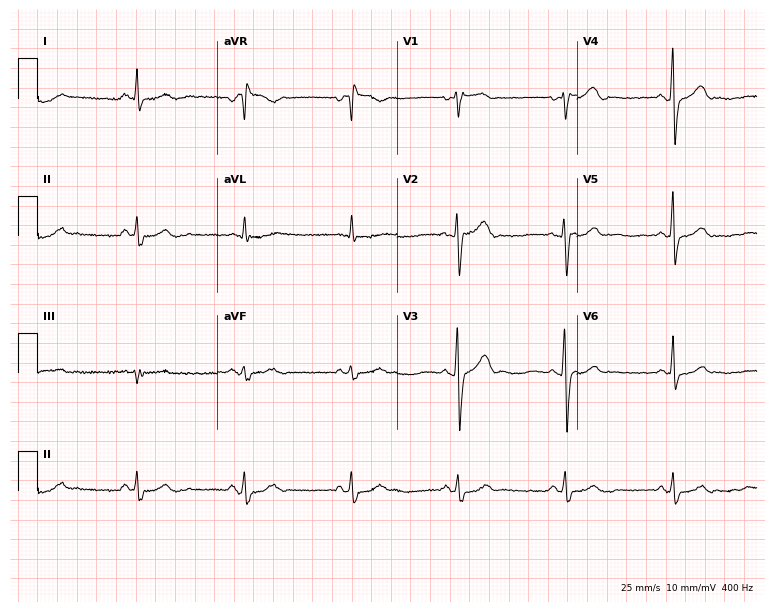
12-lead ECG from a 41-year-old man. Recorded interpretation: within normal limits.